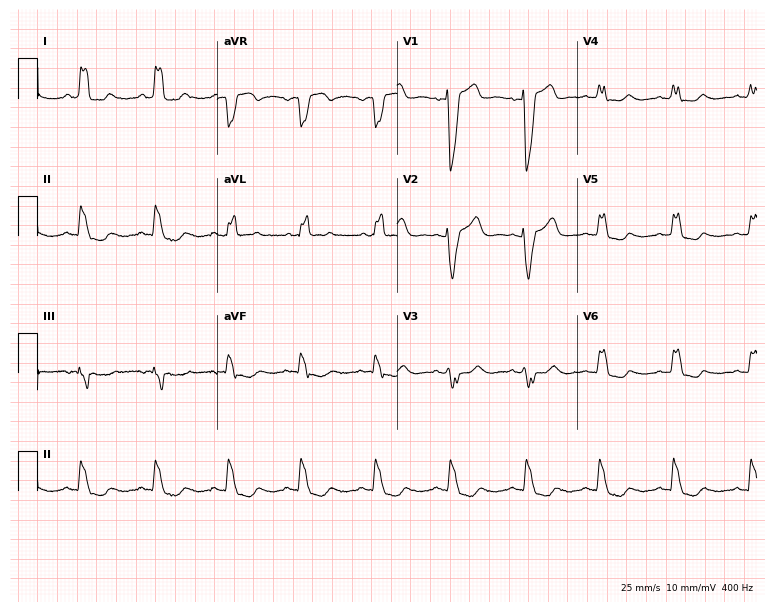
12-lead ECG (7.3-second recording at 400 Hz) from a 38-year-old female. Findings include left bundle branch block.